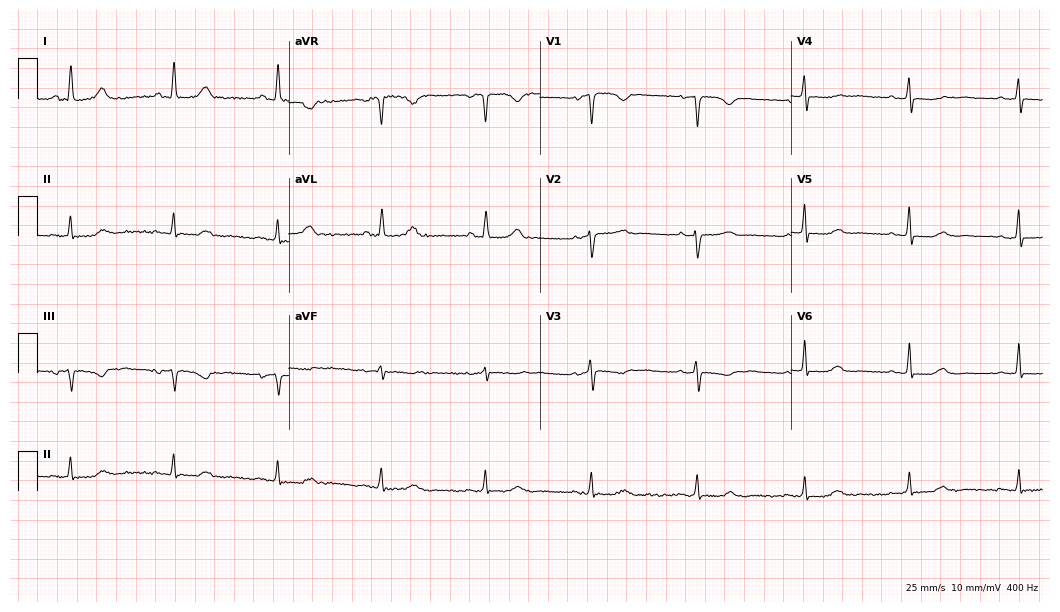
Electrocardiogram (10.2-second recording at 400 Hz), a female patient, 51 years old. Overall reading on record: normal ECG.